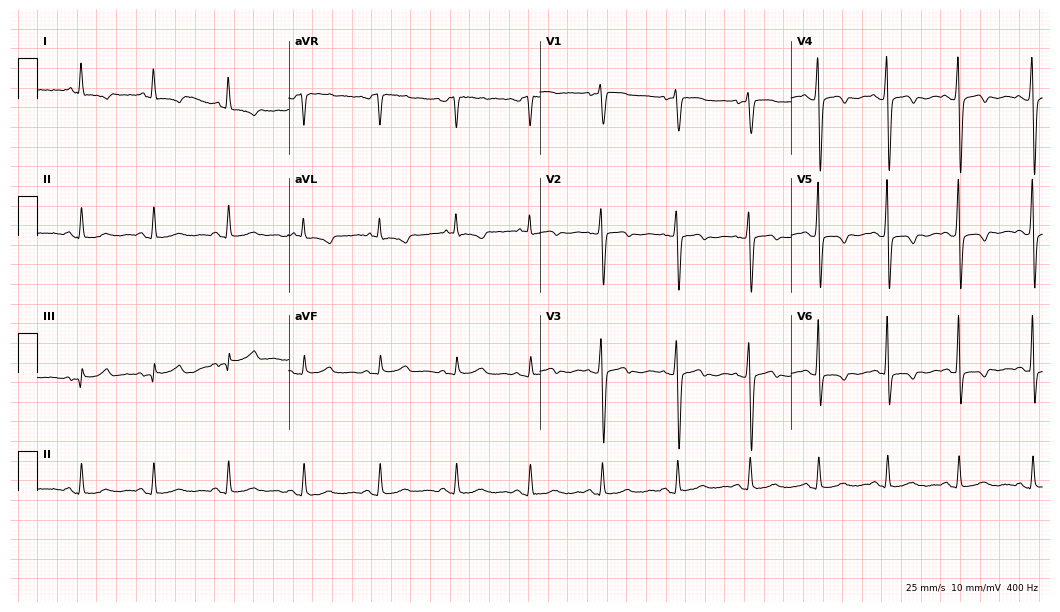
12-lead ECG from a female patient, 55 years old. Screened for six findings — first-degree AV block, right bundle branch block, left bundle branch block, sinus bradycardia, atrial fibrillation, sinus tachycardia — none is recorded. Findings outside these six are not listed.